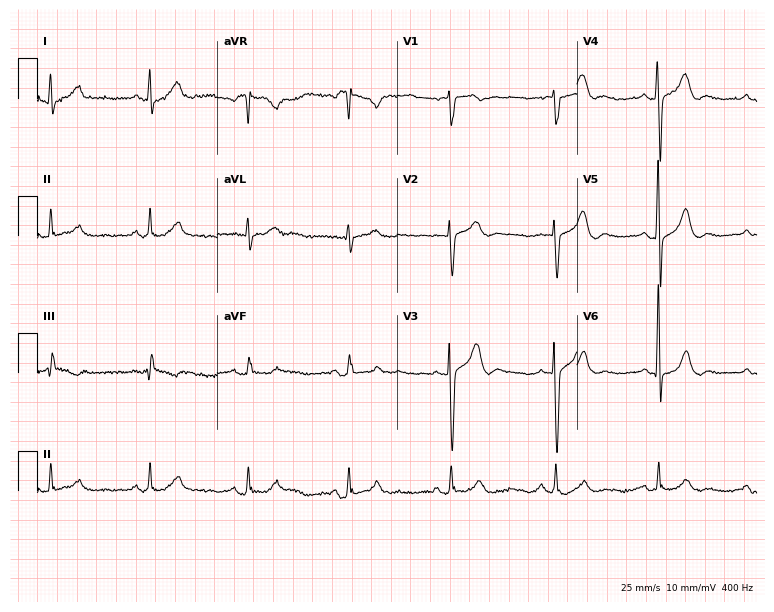
12-lead ECG (7.3-second recording at 400 Hz) from a man, 64 years old. Labelled as a normal ECG.